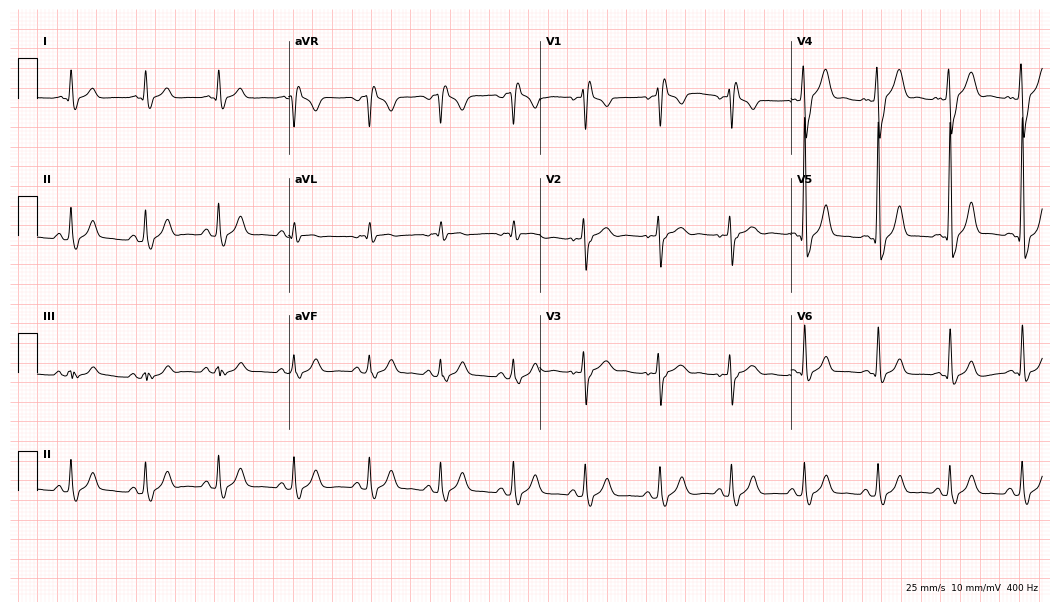
Resting 12-lead electrocardiogram (10.2-second recording at 400 Hz). Patient: a man, 41 years old. The tracing shows right bundle branch block (RBBB).